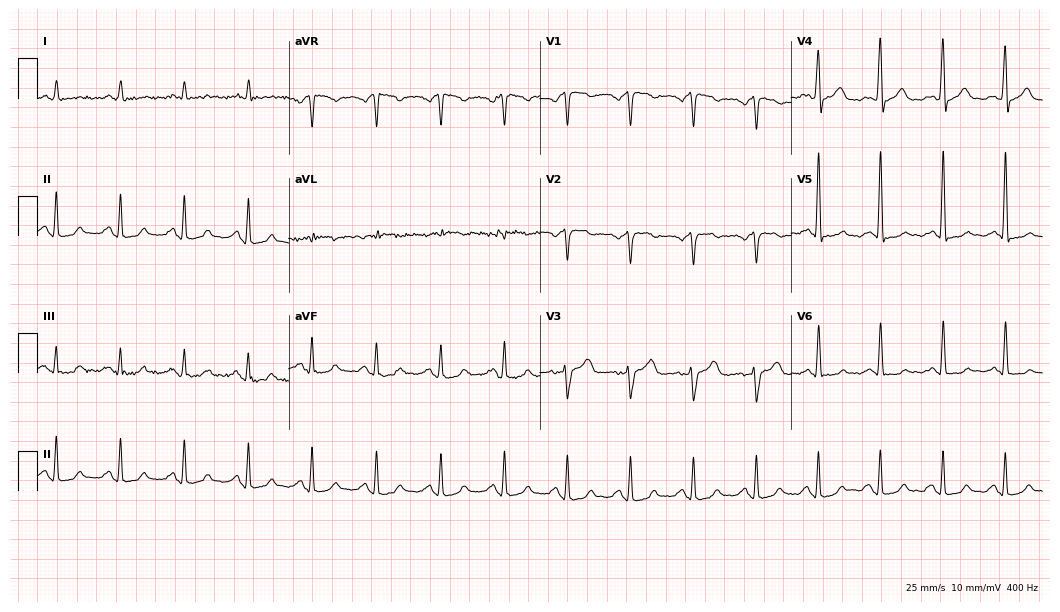
Resting 12-lead electrocardiogram. Patient: a male, 73 years old. Read as a normal ECG.